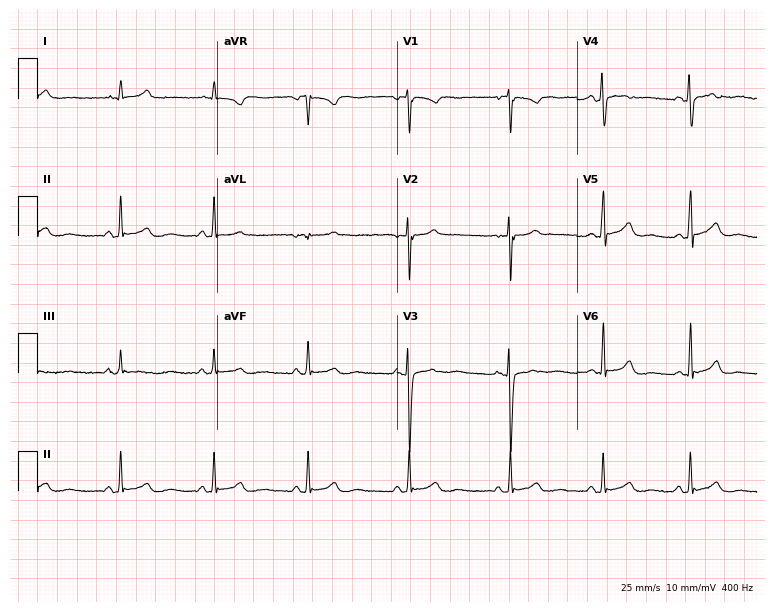
12-lead ECG (7.3-second recording at 400 Hz) from a female patient, 23 years old. Labelled as a normal ECG.